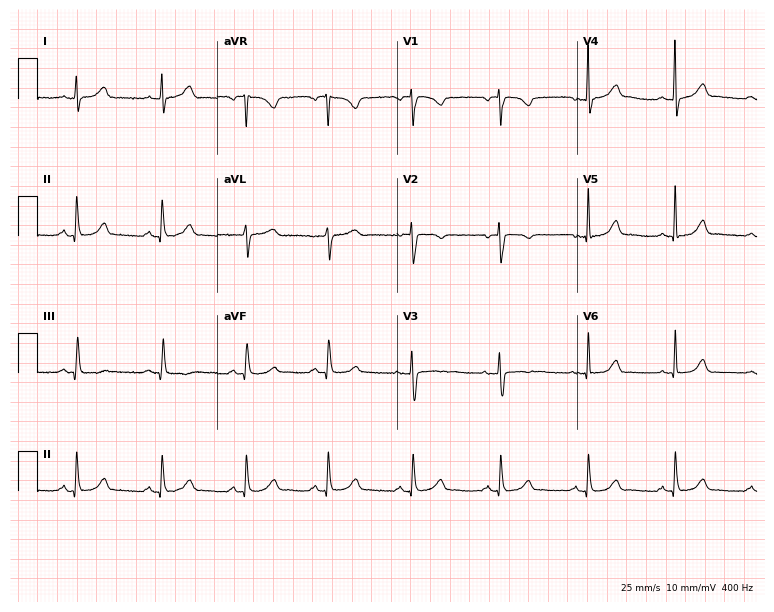
Resting 12-lead electrocardiogram (7.3-second recording at 400 Hz). Patient: a 47-year-old woman. Read as a normal ECG.